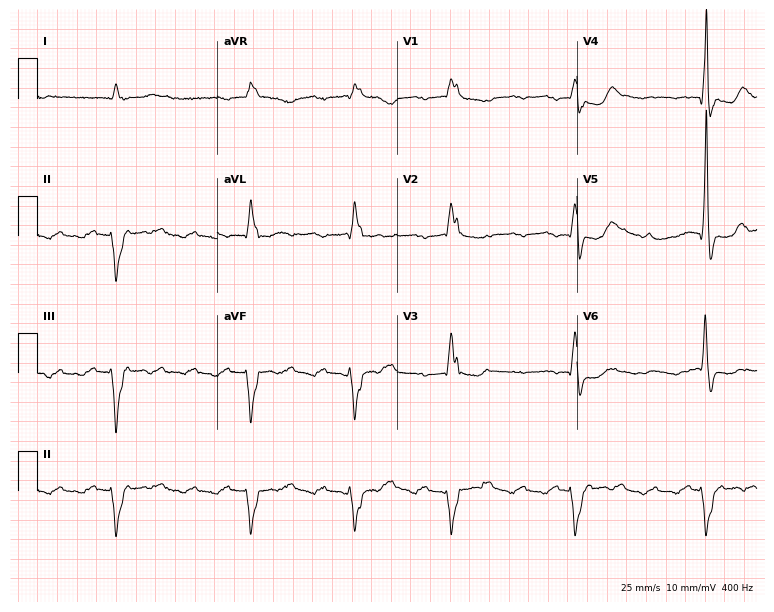
Standard 12-lead ECG recorded from a 62-year-old male. The tracing shows atrial fibrillation (AF).